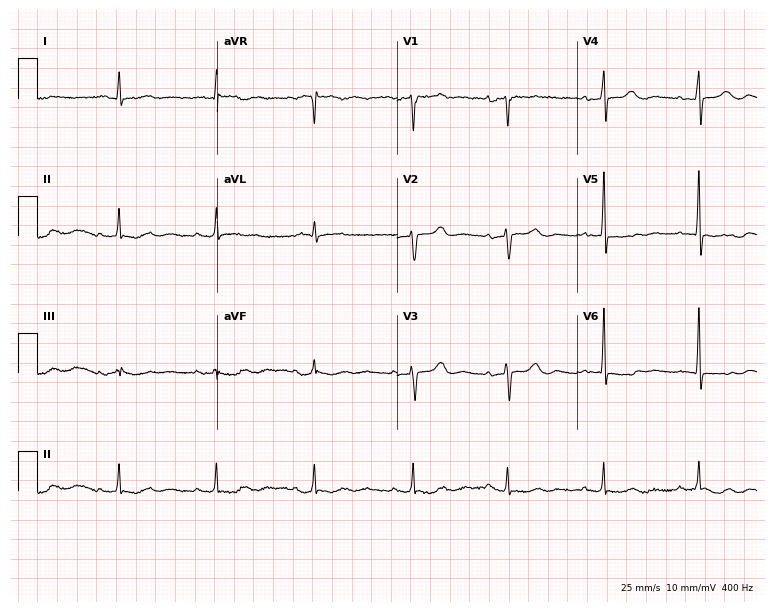
Standard 12-lead ECG recorded from an 81-year-old female. None of these six findings is recorded: first-degree AV block, right bundle branch block, left bundle branch block, sinus bradycardia, atrial fibrillation, sinus tachycardia.